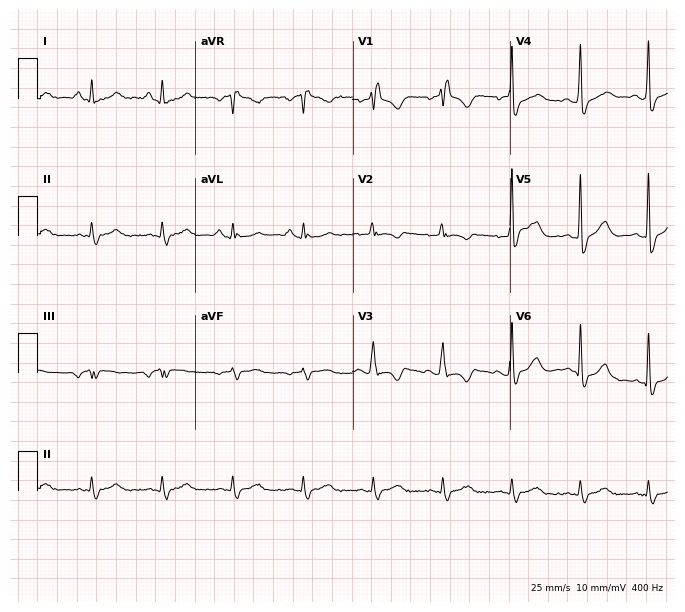
Standard 12-lead ECG recorded from a 72-year-old male patient. None of these six findings is recorded: first-degree AV block, right bundle branch block, left bundle branch block, sinus bradycardia, atrial fibrillation, sinus tachycardia. Only these six findings were labelled.